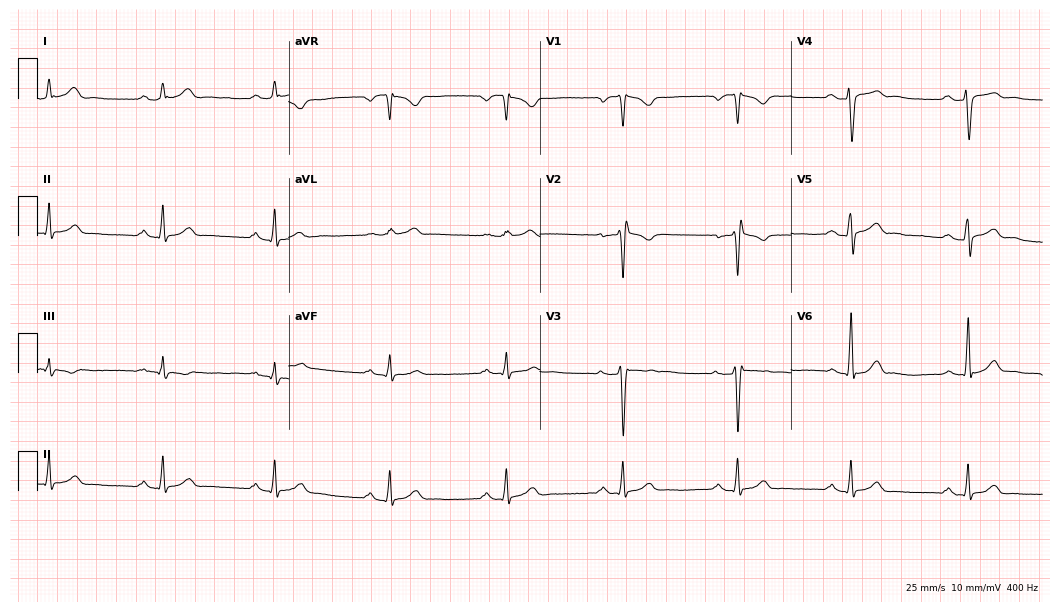
Standard 12-lead ECG recorded from a 35-year-old male (10.2-second recording at 400 Hz). The tracing shows first-degree AV block.